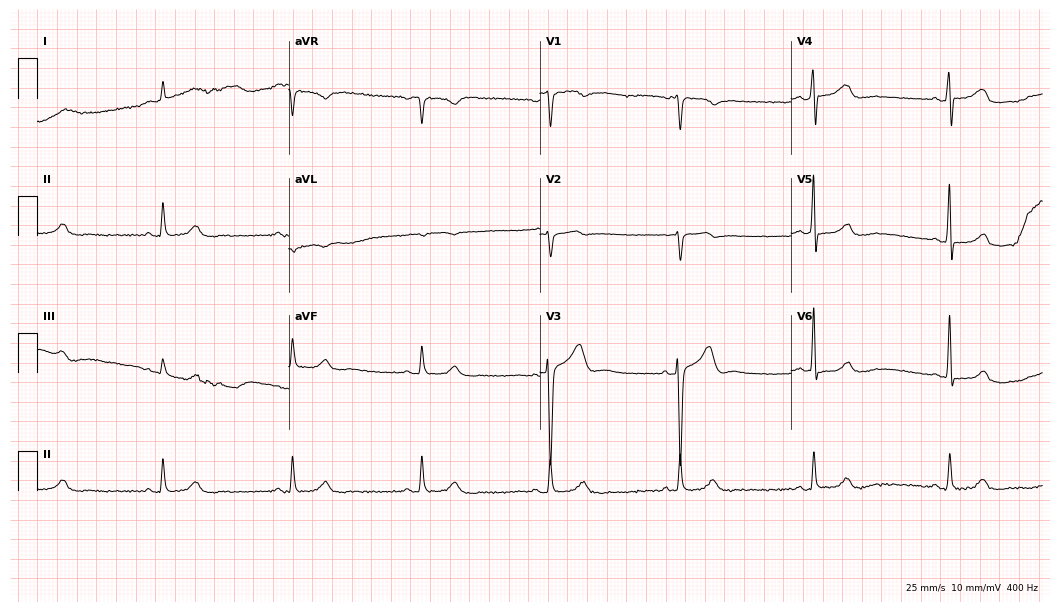
Resting 12-lead electrocardiogram. Patient: a male, 75 years old. The tracing shows sinus bradycardia (a sinus rate of 50 beats per minute or less).